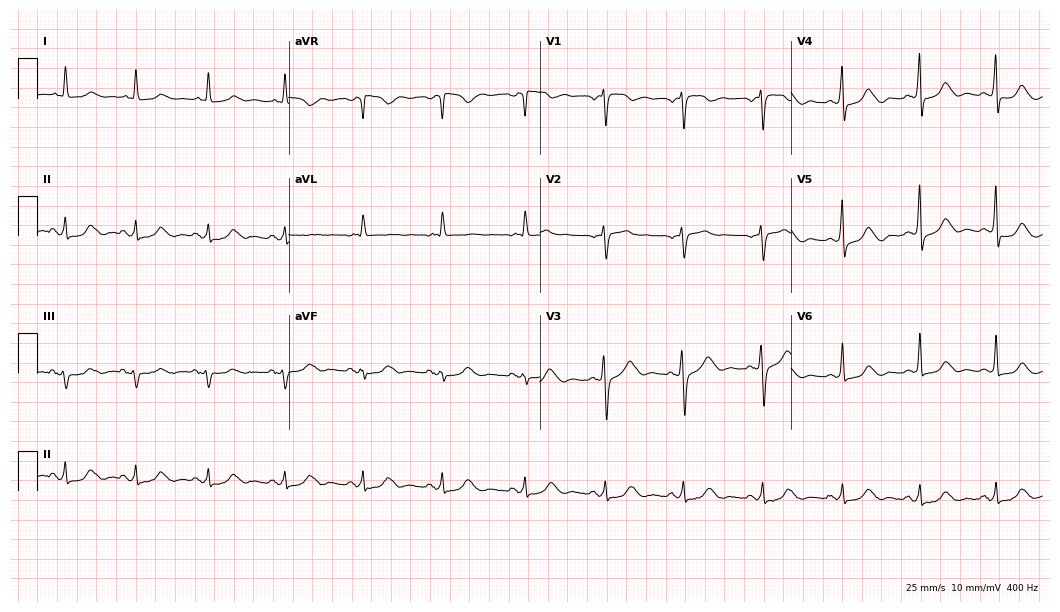
12-lead ECG from a female, 64 years old (10.2-second recording at 400 Hz). Recorded interpretation: within normal limits.